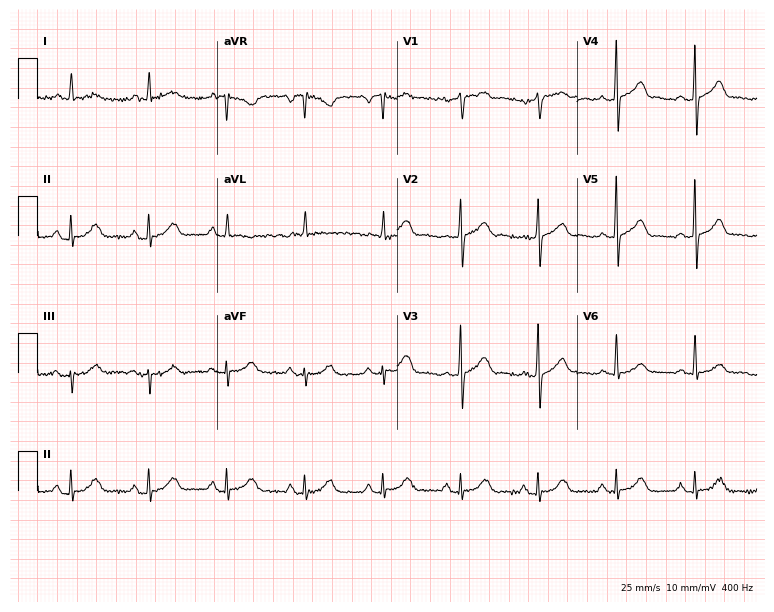
12-lead ECG (7.3-second recording at 400 Hz) from a woman, 71 years old. Labelled as a normal ECG.